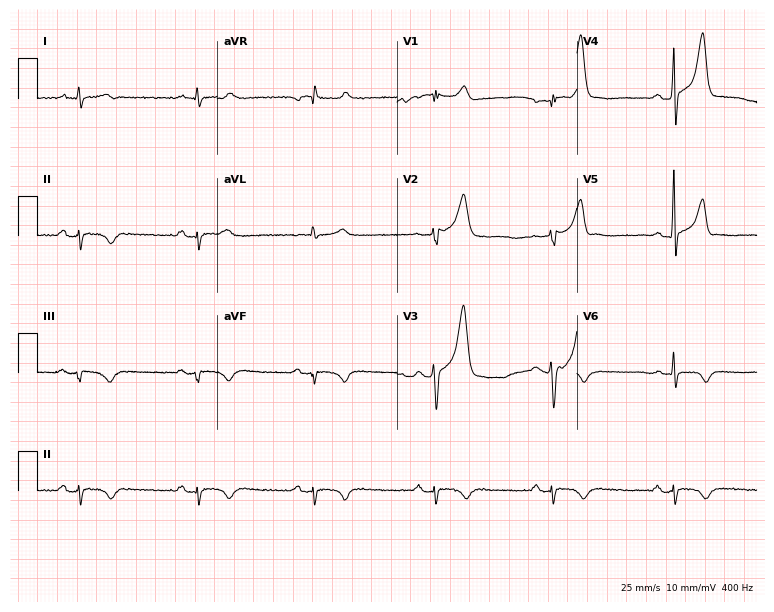
12-lead ECG from a 52-year-old male. No first-degree AV block, right bundle branch block, left bundle branch block, sinus bradycardia, atrial fibrillation or sinus tachycardia recorded for this tracing. Other findings, if any, are not listed.